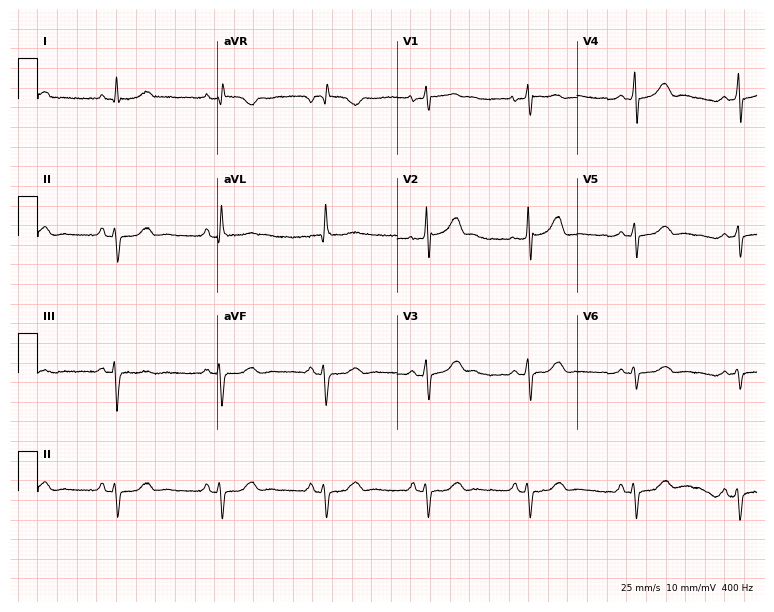
12-lead ECG from a female patient, 68 years old (7.3-second recording at 400 Hz). No first-degree AV block, right bundle branch block (RBBB), left bundle branch block (LBBB), sinus bradycardia, atrial fibrillation (AF) or sinus tachycardia recorded for this tracing.